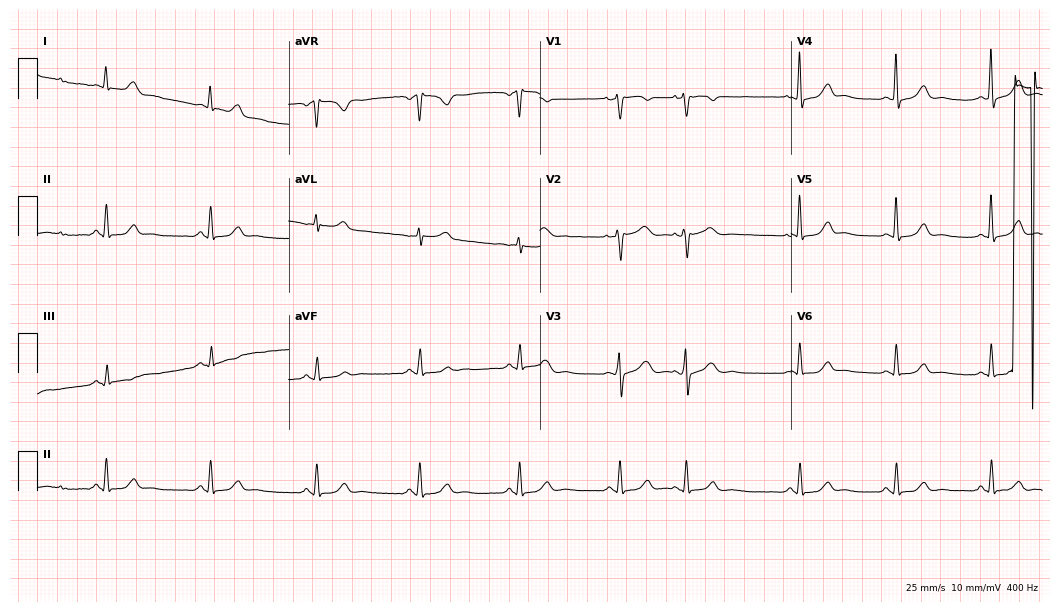
Resting 12-lead electrocardiogram (10.2-second recording at 400 Hz). Patient: a female, 61 years old. Read as a normal ECG.